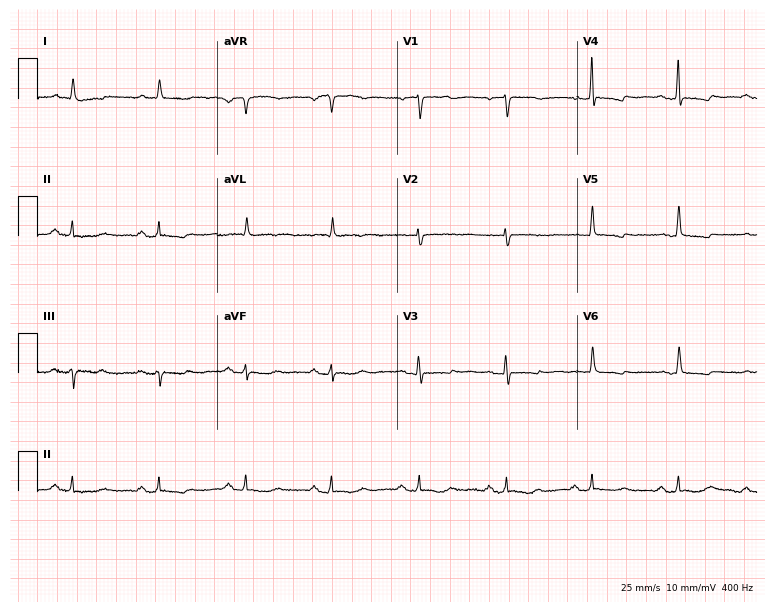
Standard 12-lead ECG recorded from a female, 84 years old (7.3-second recording at 400 Hz). None of these six findings is recorded: first-degree AV block, right bundle branch block (RBBB), left bundle branch block (LBBB), sinus bradycardia, atrial fibrillation (AF), sinus tachycardia.